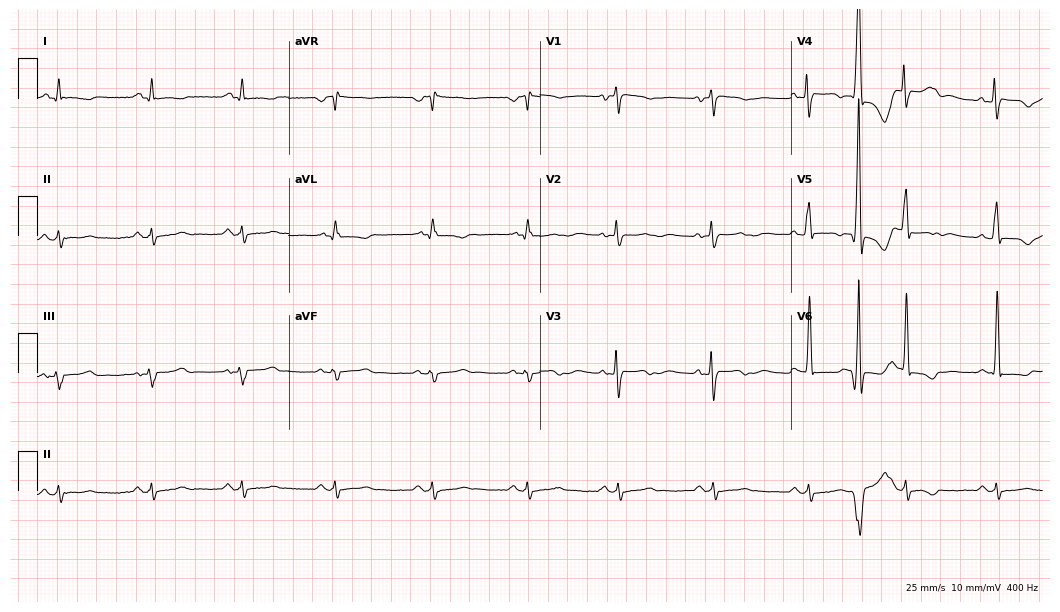
Resting 12-lead electrocardiogram (10.2-second recording at 400 Hz). Patient: a 76-year-old woman. None of these six findings is recorded: first-degree AV block, right bundle branch block, left bundle branch block, sinus bradycardia, atrial fibrillation, sinus tachycardia.